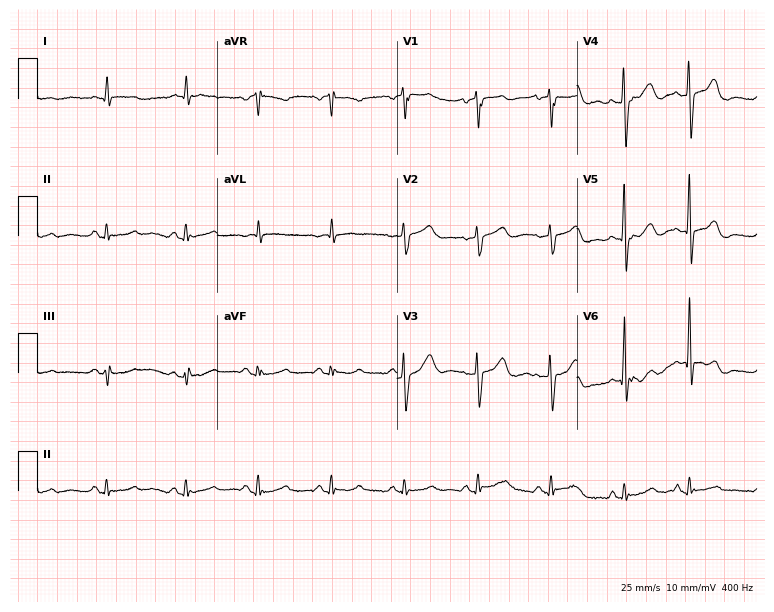
Electrocardiogram (7.3-second recording at 400 Hz), an 83-year-old male patient. Of the six screened findings (first-degree AV block, right bundle branch block, left bundle branch block, sinus bradycardia, atrial fibrillation, sinus tachycardia), none is recorded.